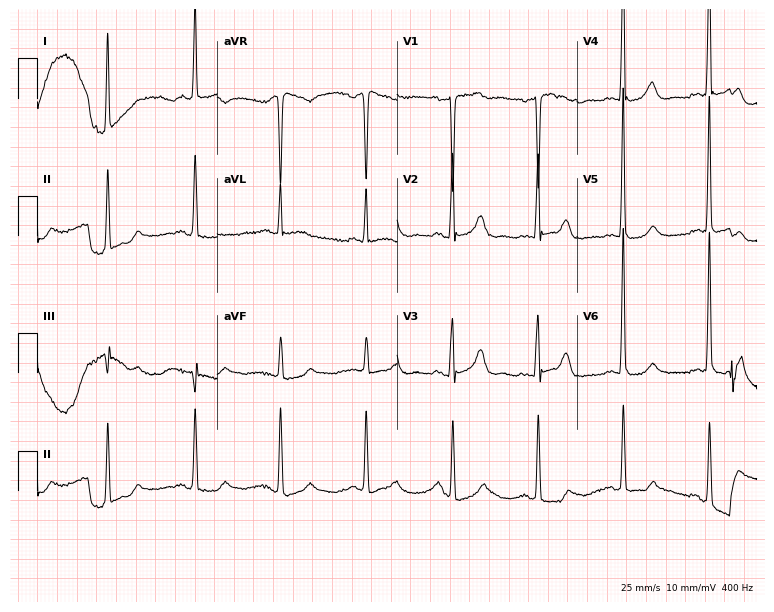
12-lead ECG from a 72-year-old female patient. No first-degree AV block, right bundle branch block, left bundle branch block, sinus bradycardia, atrial fibrillation or sinus tachycardia recorded for this tracing. Other findings, if any, are not listed.